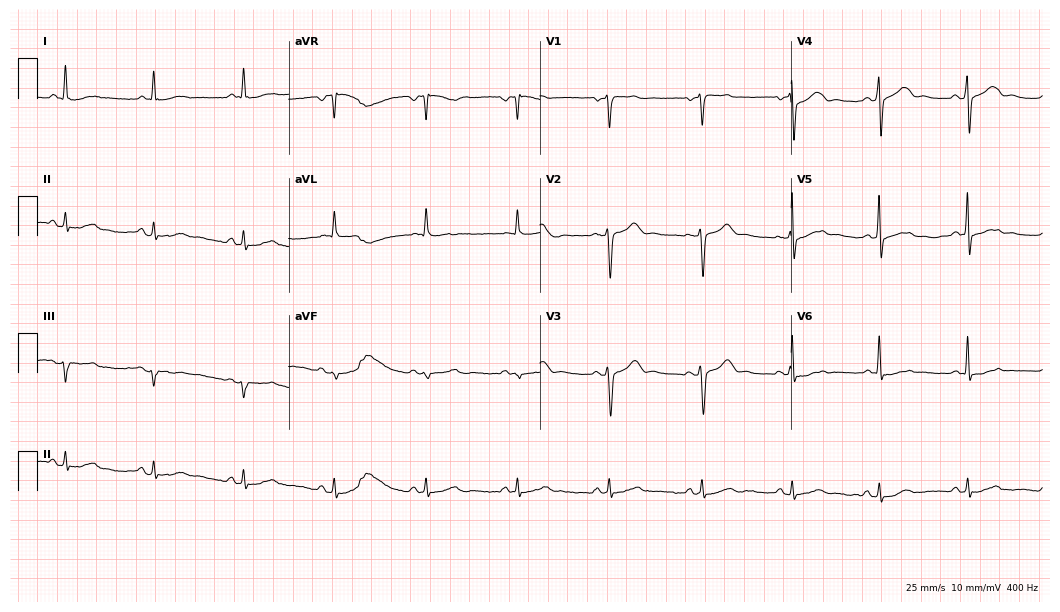
Electrocardiogram (10.2-second recording at 400 Hz), a 56-year-old male patient. Overall reading on record: normal ECG.